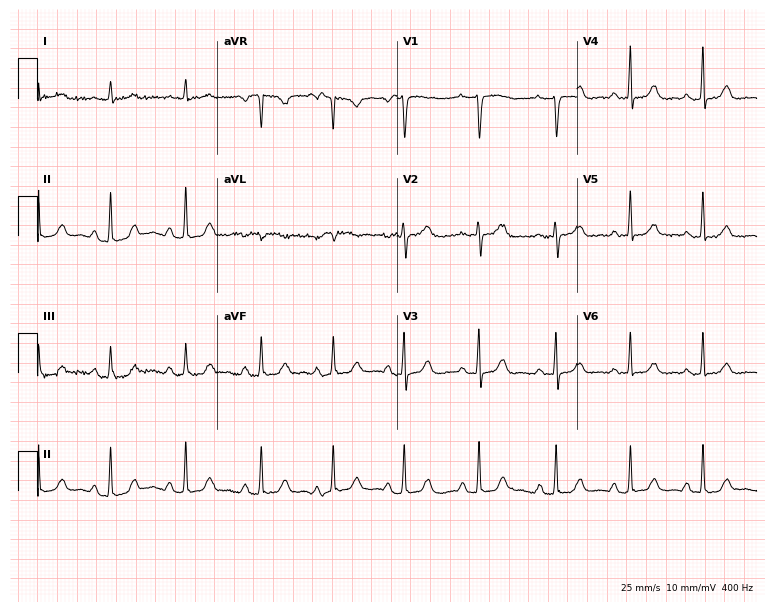
ECG — a woman, 58 years old. Screened for six findings — first-degree AV block, right bundle branch block (RBBB), left bundle branch block (LBBB), sinus bradycardia, atrial fibrillation (AF), sinus tachycardia — none is recorded. Findings outside these six are not listed.